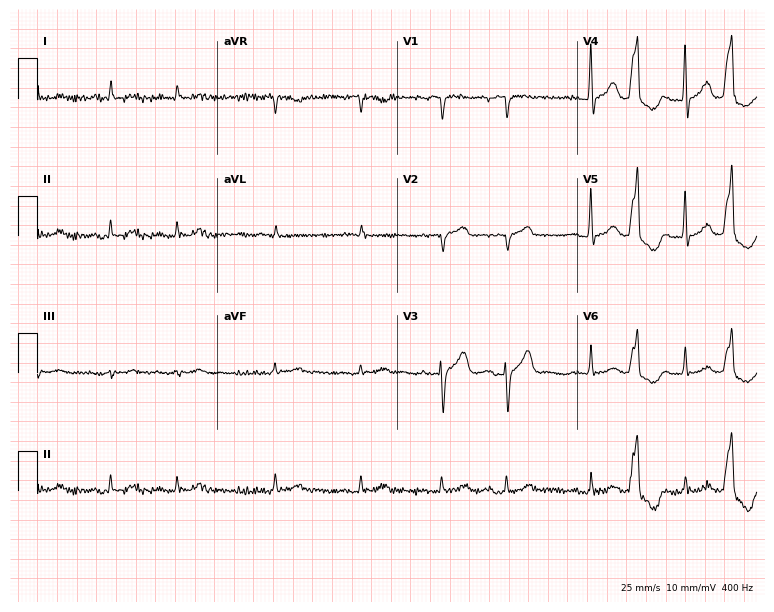
ECG — a man, 80 years old. Findings include atrial fibrillation.